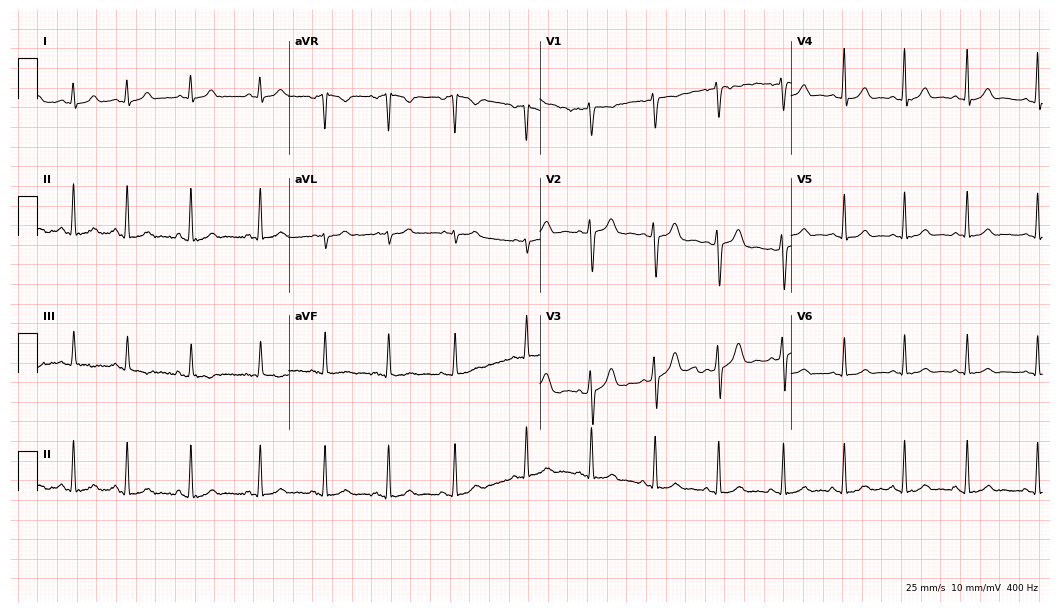
Resting 12-lead electrocardiogram (10.2-second recording at 400 Hz). Patient: a 17-year-old woman. Read as a normal ECG.